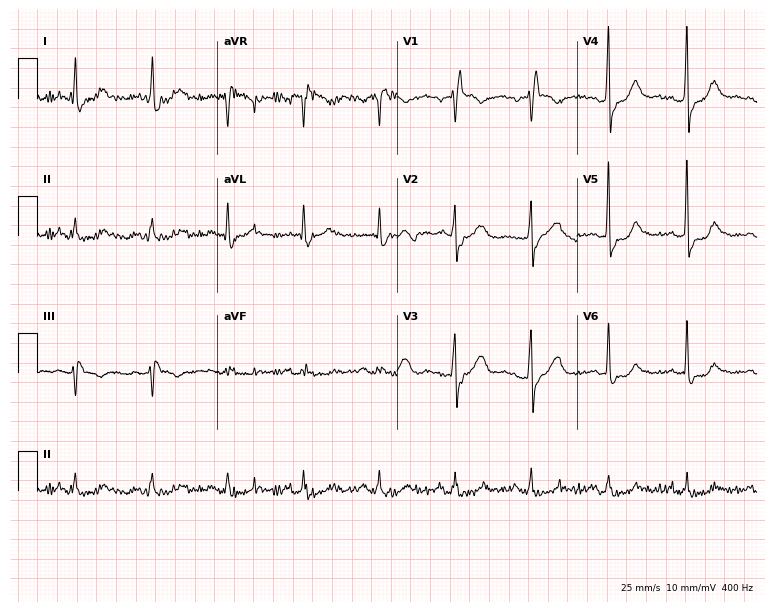
Electrocardiogram (7.3-second recording at 400 Hz), a male, 77 years old. Interpretation includes right bundle branch block (RBBB).